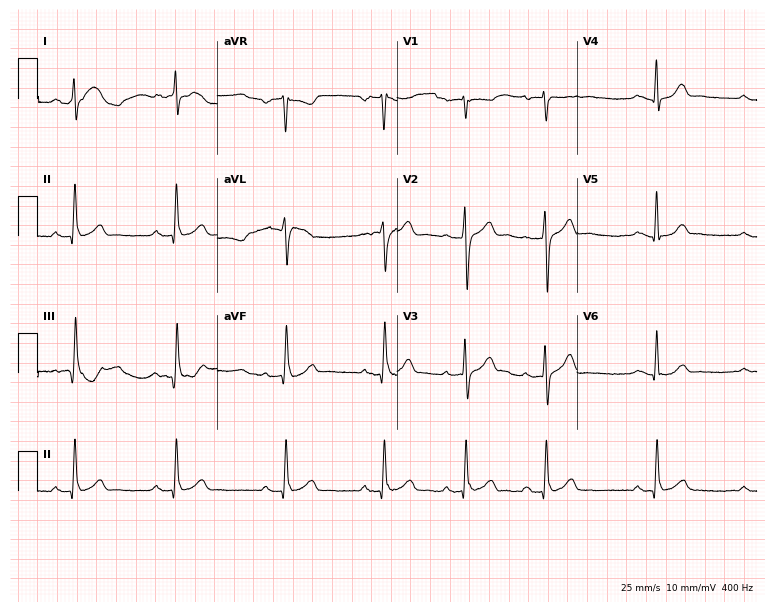
Resting 12-lead electrocardiogram. Patient: a male, 35 years old. None of these six findings is recorded: first-degree AV block, right bundle branch block, left bundle branch block, sinus bradycardia, atrial fibrillation, sinus tachycardia. Findings outside these six are not listed.